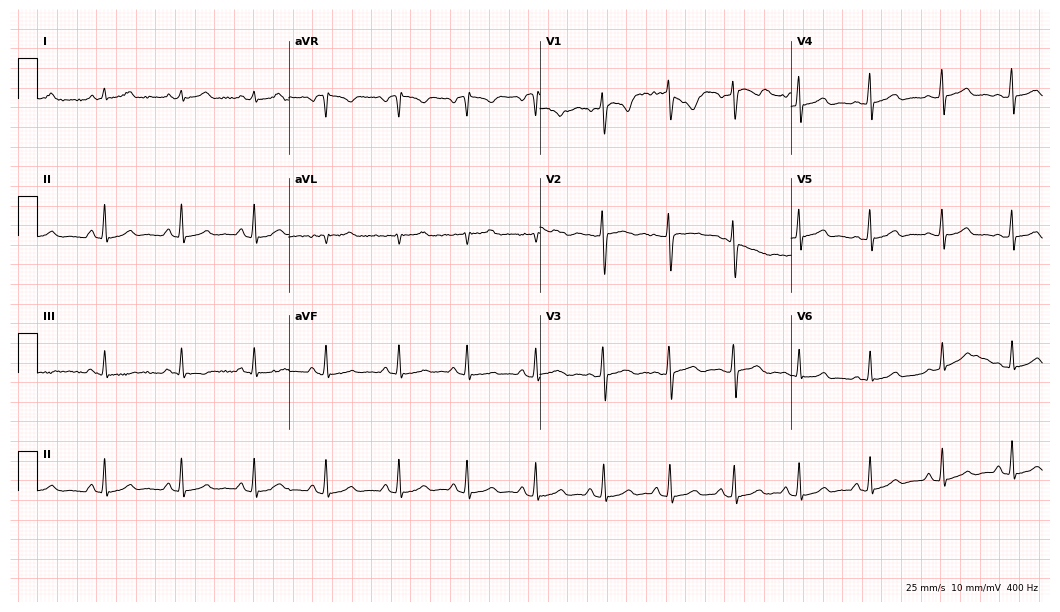
Electrocardiogram, a female patient, 19 years old. Overall reading on record: normal ECG.